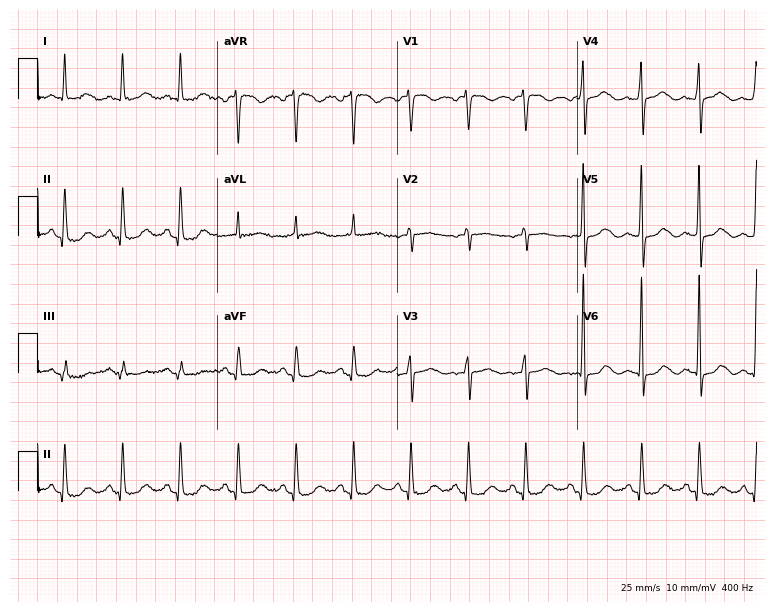
12-lead ECG from a 63-year-old woman (7.3-second recording at 400 Hz). Shows sinus tachycardia (a sinus rate of 100 beats per minute or more).